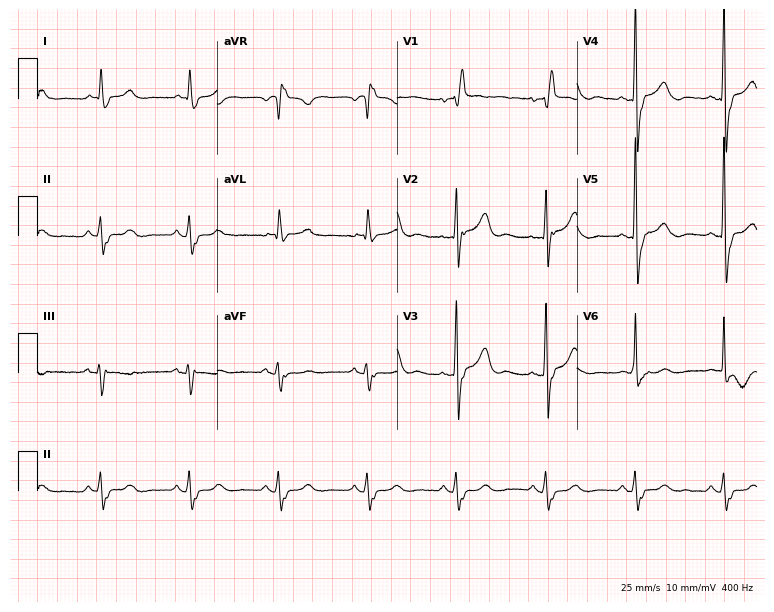
ECG (7.3-second recording at 400 Hz) — a 75-year-old male. Findings include right bundle branch block.